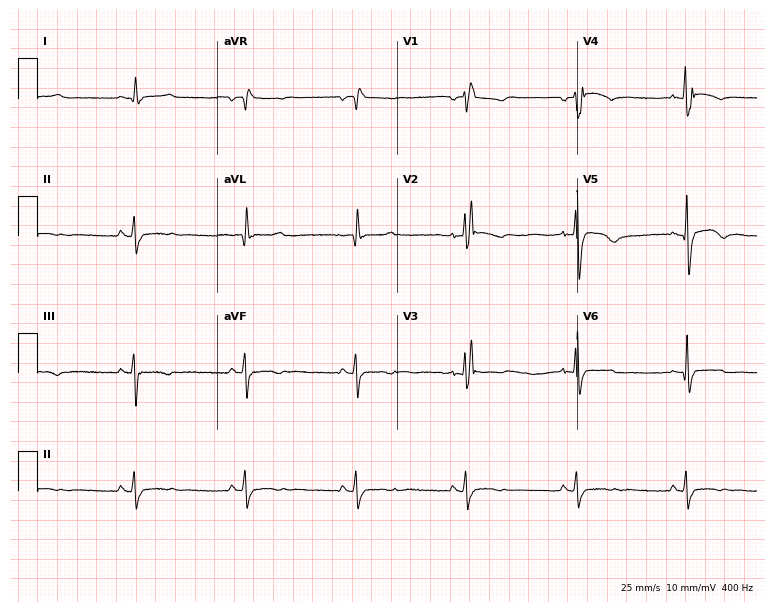
ECG (7.3-second recording at 400 Hz) — a 38-year-old male. Findings include right bundle branch block.